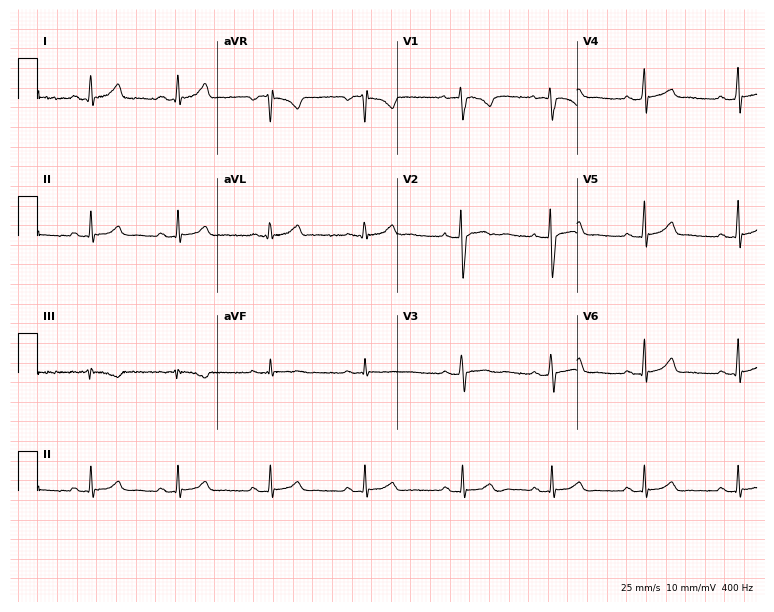
12-lead ECG from a female patient, 20 years old (7.3-second recording at 400 Hz). No first-degree AV block, right bundle branch block, left bundle branch block, sinus bradycardia, atrial fibrillation or sinus tachycardia recorded for this tracing. Findings outside these six are not listed.